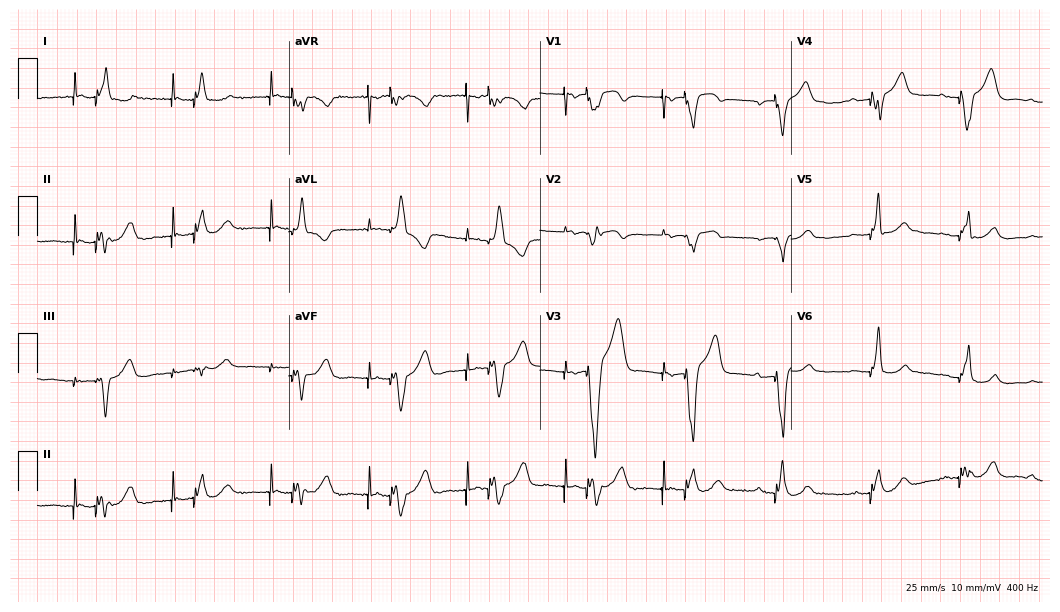
Electrocardiogram, an 84-year-old male. Of the six screened findings (first-degree AV block, right bundle branch block (RBBB), left bundle branch block (LBBB), sinus bradycardia, atrial fibrillation (AF), sinus tachycardia), none is recorded.